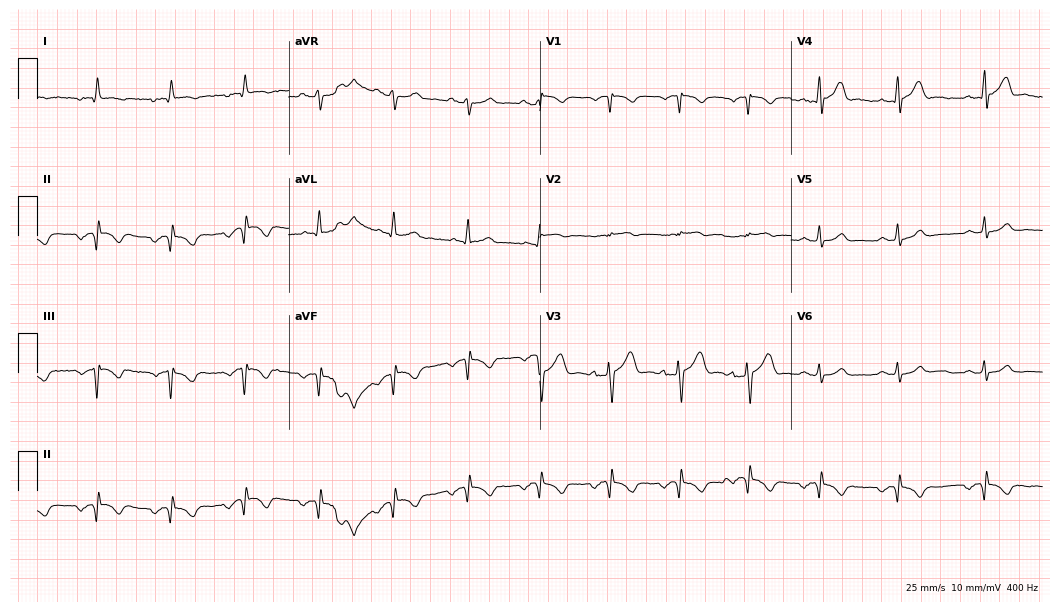
ECG — a man, 47 years old. Screened for six findings — first-degree AV block, right bundle branch block (RBBB), left bundle branch block (LBBB), sinus bradycardia, atrial fibrillation (AF), sinus tachycardia — none is recorded.